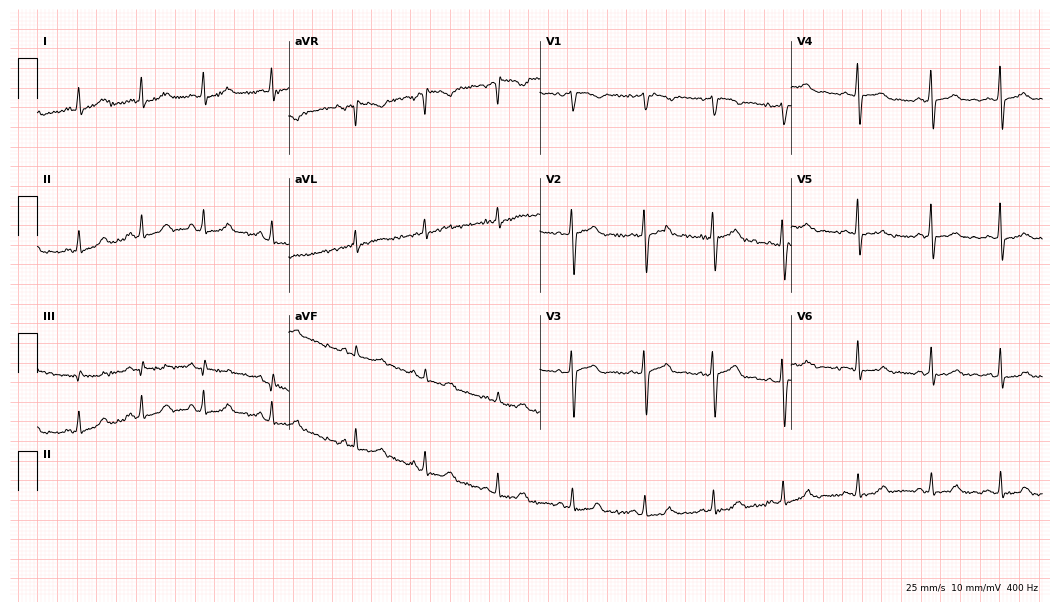
Resting 12-lead electrocardiogram. Patient: a female, 21 years old. Read as a normal ECG.